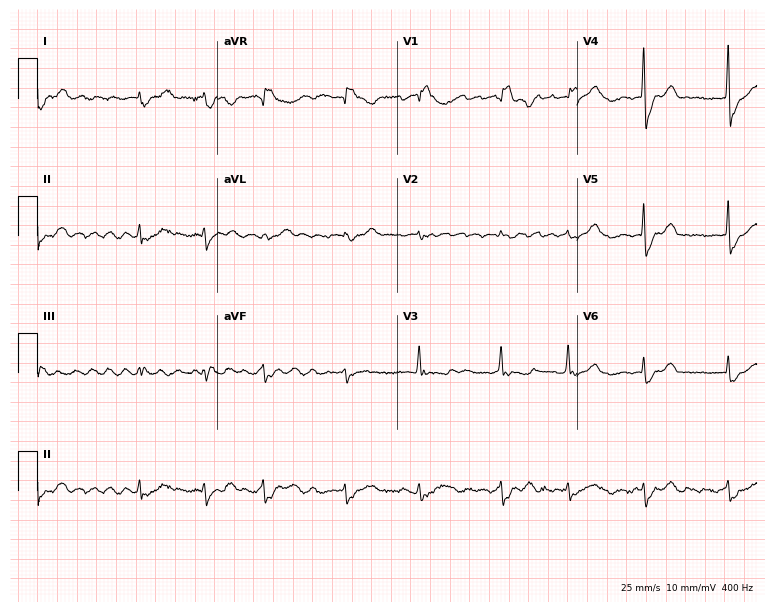
Electrocardiogram, a man, 64 years old. Interpretation includes right bundle branch block (RBBB), atrial fibrillation (AF).